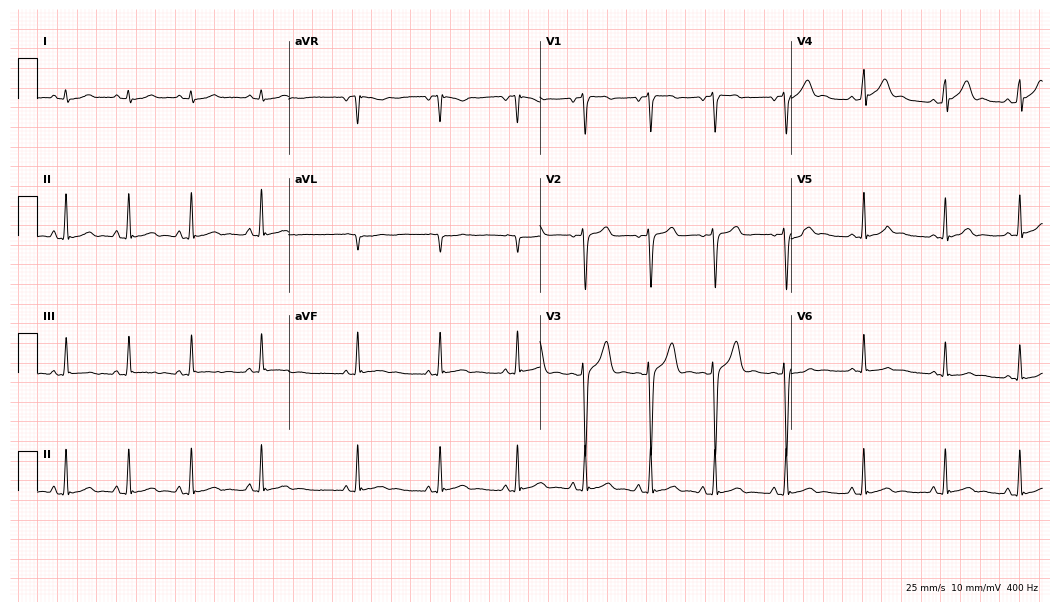
Standard 12-lead ECG recorded from a male, 24 years old (10.2-second recording at 400 Hz). Read as a normal ECG.